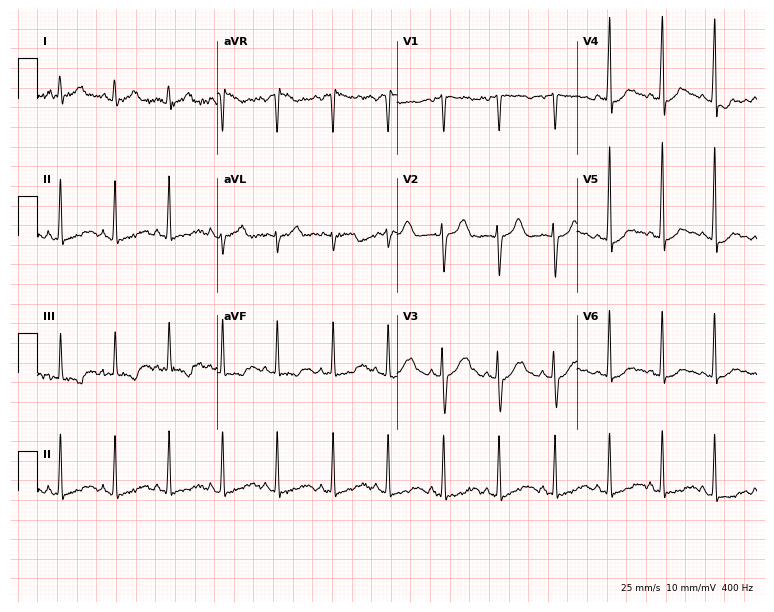
Resting 12-lead electrocardiogram. Patient: a woman, 33 years old. The tracing shows sinus tachycardia (a sinus rate of 100 beats per minute or more).